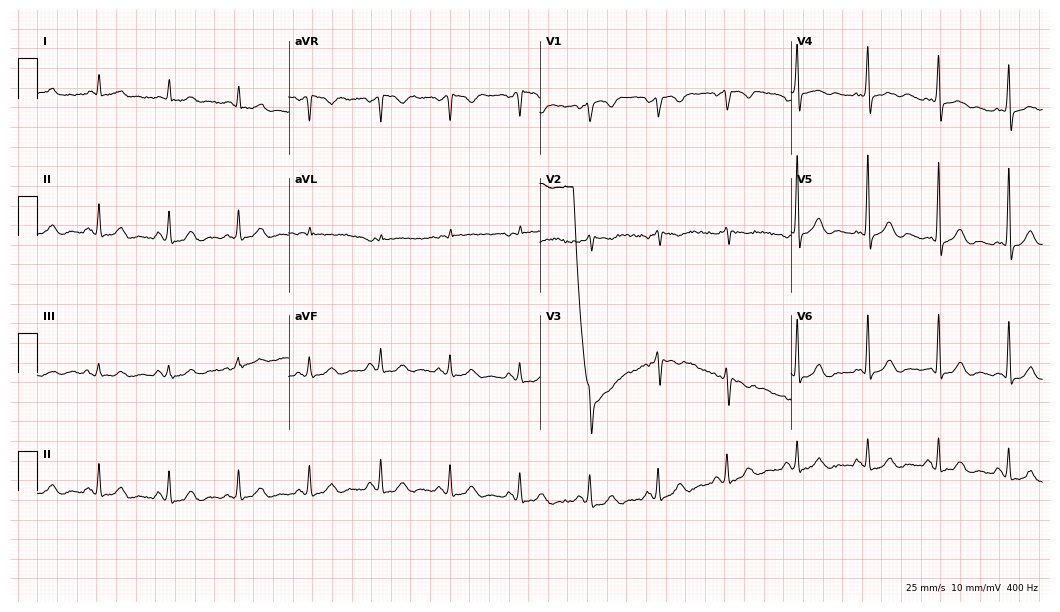
Electrocardiogram (10.2-second recording at 400 Hz), an 83-year-old man. Of the six screened findings (first-degree AV block, right bundle branch block (RBBB), left bundle branch block (LBBB), sinus bradycardia, atrial fibrillation (AF), sinus tachycardia), none is recorded.